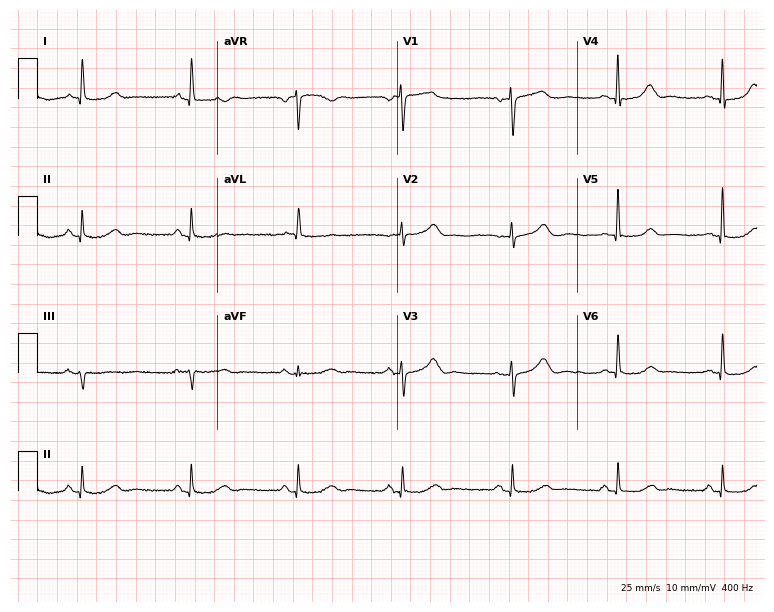
Electrocardiogram (7.3-second recording at 400 Hz), a female, 81 years old. Of the six screened findings (first-degree AV block, right bundle branch block (RBBB), left bundle branch block (LBBB), sinus bradycardia, atrial fibrillation (AF), sinus tachycardia), none is recorded.